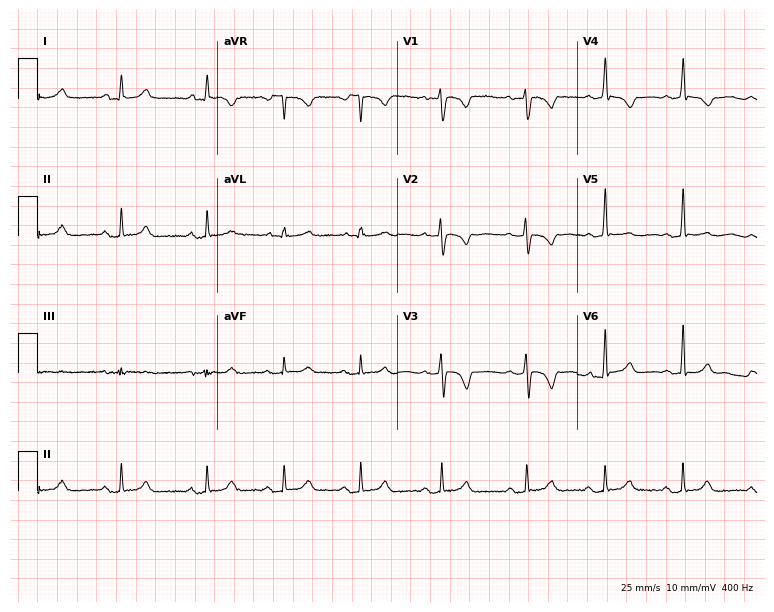
Electrocardiogram (7.3-second recording at 400 Hz), a female patient, 24 years old. Of the six screened findings (first-degree AV block, right bundle branch block, left bundle branch block, sinus bradycardia, atrial fibrillation, sinus tachycardia), none is recorded.